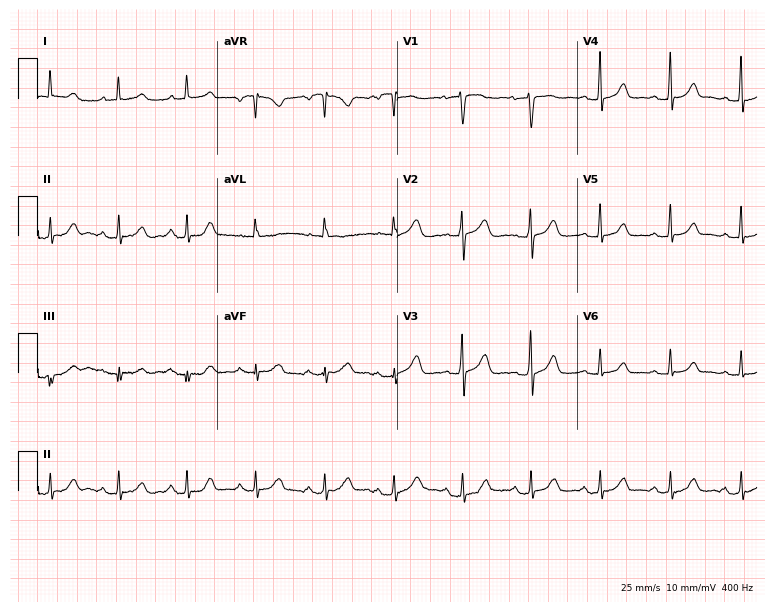
ECG — a female, 59 years old. Labelled as a normal ECG.